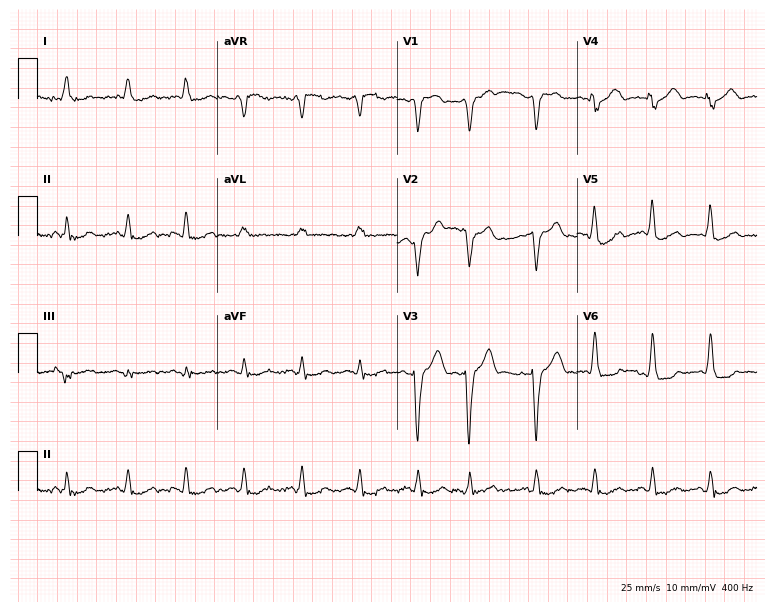
12-lead ECG from a male, 75 years old (7.3-second recording at 400 Hz). No first-degree AV block, right bundle branch block, left bundle branch block, sinus bradycardia, atrial fibrillation or sinus tachycardia recorded for this tracing. Other findings, if any, are not listed.